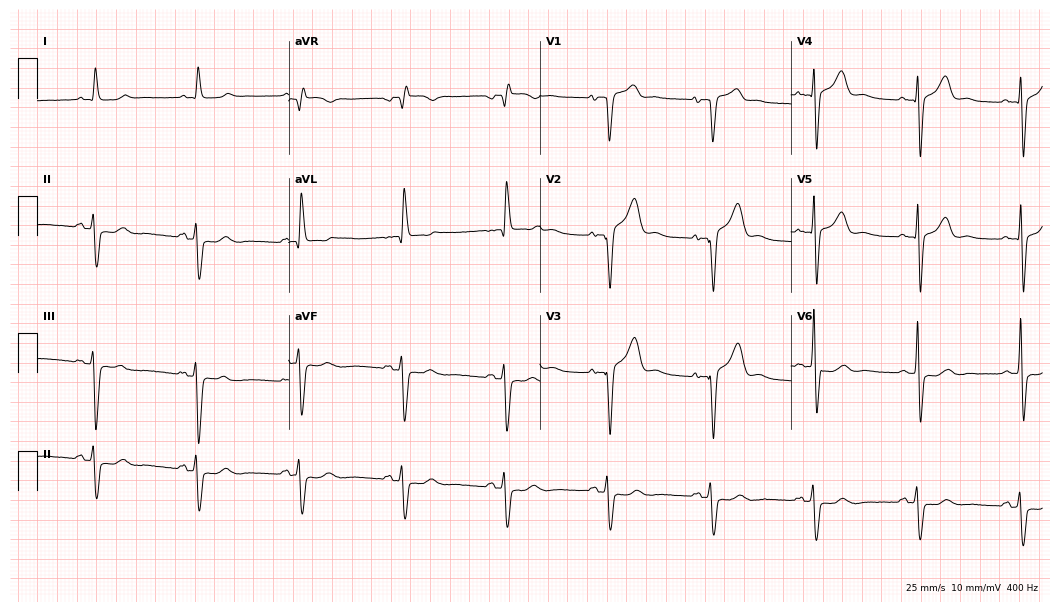
Standard 12-lead ECG recorded from a woman, 80 years old (10.2-second recording at 400 Hz). None of these six findings is recorded: first-degree AV block, right bundle branch block, left bundle branch block, sinus bradycardia, atrial fibrillation, sinus tachycardia. Only these six findings were labelled.